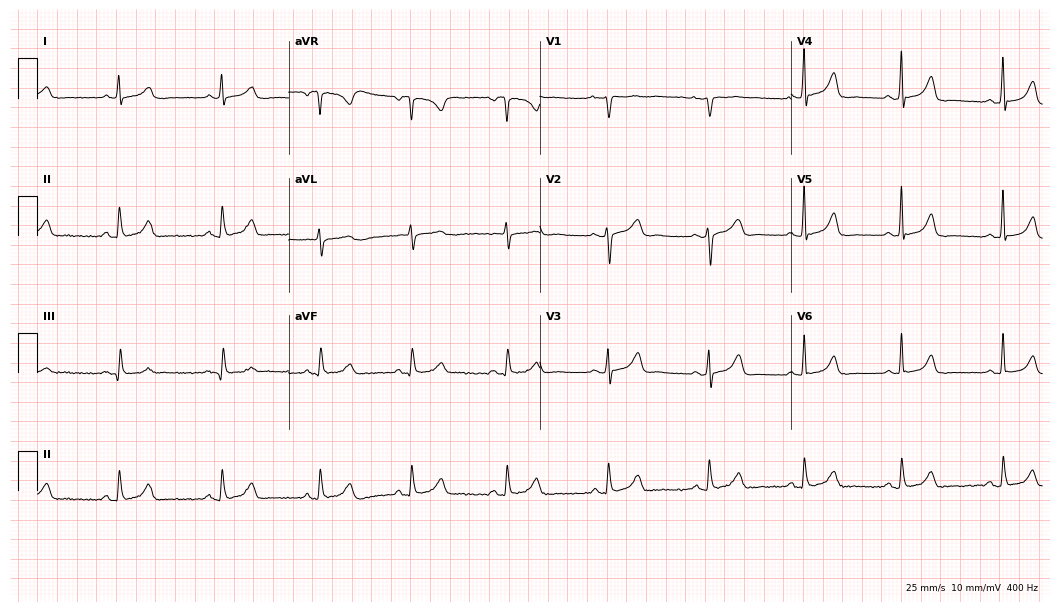
Resting 12-lead electrocardiogram (10.2-second recording at 400 Hz). Patient: a 42-year-old woman. None of these six findings is recorded: first-degree AV block, right bundle branch block (RBBB), left bundle branch block (LBBB), sinus bradycardia, atrial fibrillation (AF), sinus tachycardia. Only these six findings were labelled.